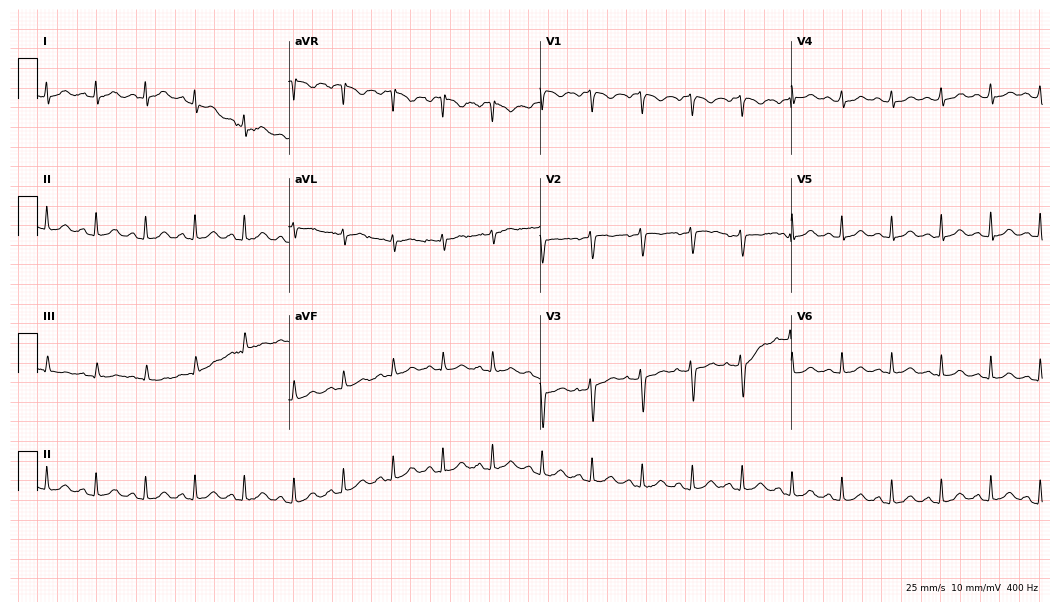
Resting 12-lead electrocardiogram (10.2-second recording at 400 Hz). Patient: a 35-year-old female. The tracing shows sinus tachycardia (a sinus rate of 100 beats per minute or more).